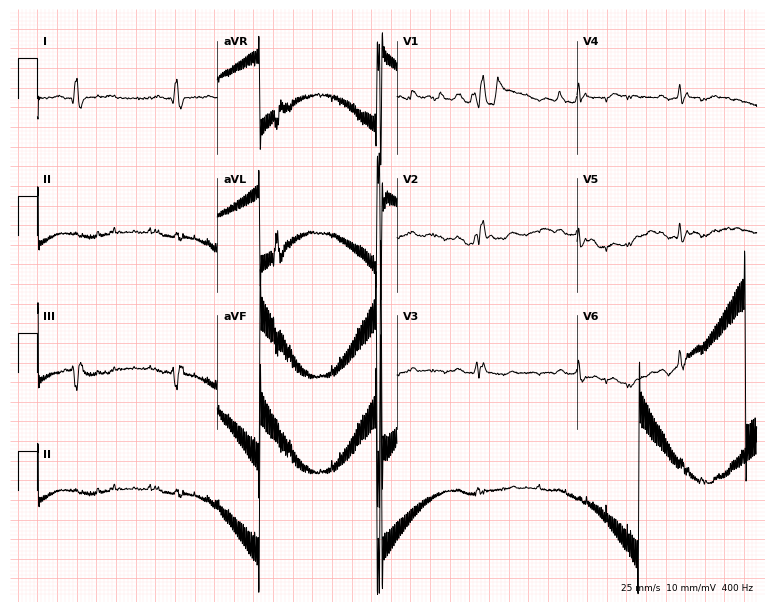
Resting 12-lead electrocardiogram. Patient: a woman, 69 years old. None of these six findings is recorded: first-degree AV block, right bundle branch block, left bundle branch block, sinus bradycardia, atrial fibrillation, sinus tachycardia.